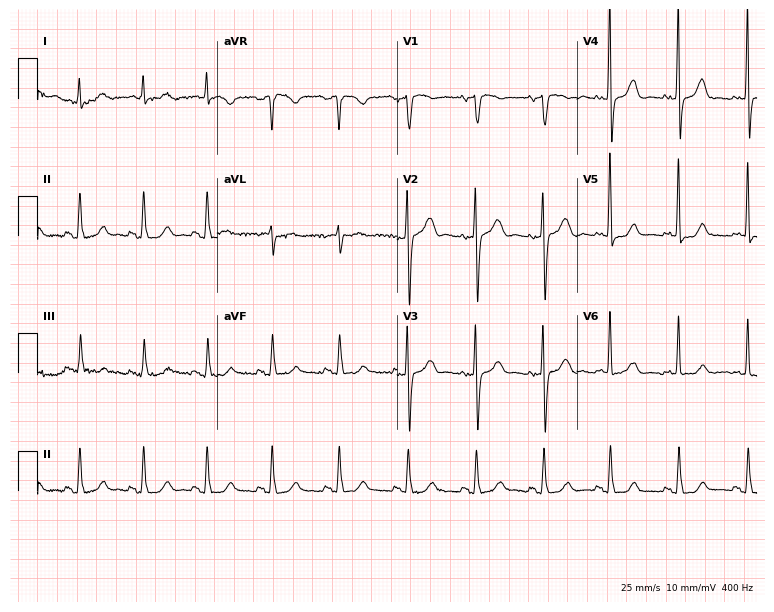
Resting 12-lead electrocardiogram (7.3-second recording at 400 Hz). Patient: a woman, 80 years old. Read as a normal ECG.